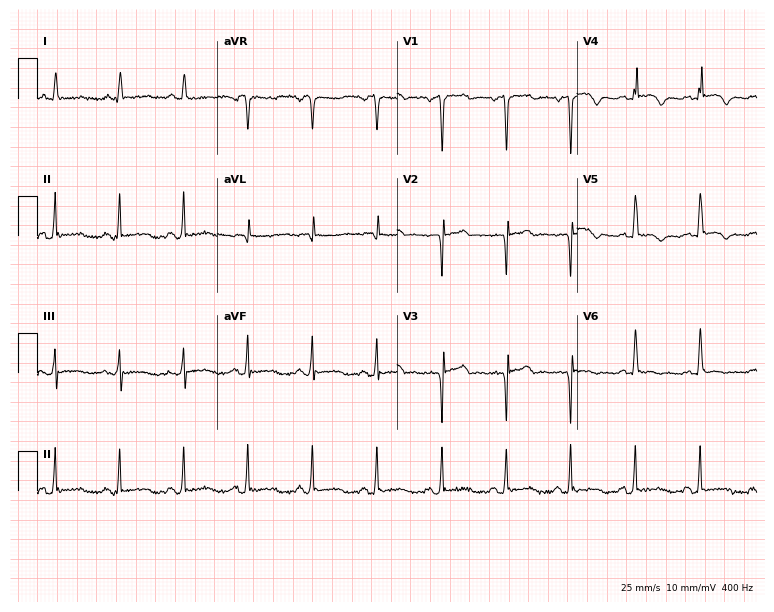
Electrocardiogram, a 70-year-old male. Of the six screened findings (first-degree AV block, right bundle branch block, left bundle branch block, sinus bradycardia, atrial fibrillation, sinus tachycardia), none is recorded. Other findings, if any, are not listed.